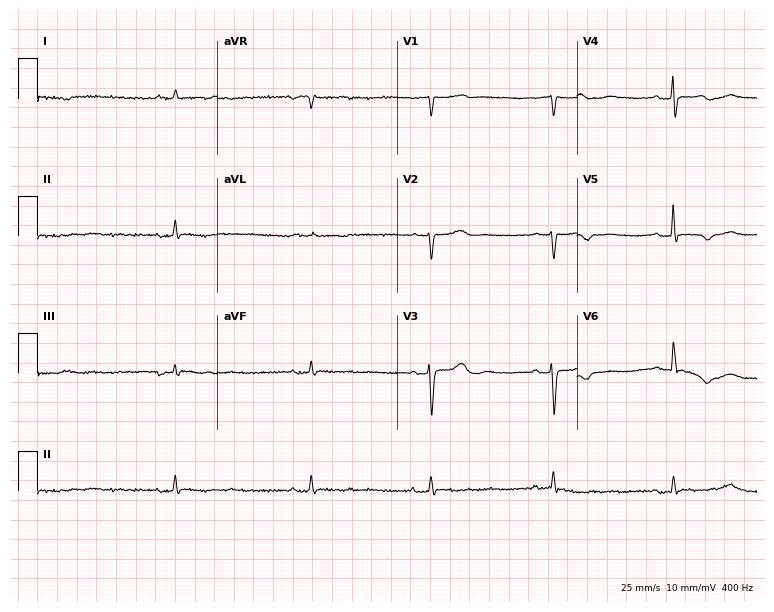
ECG — a female patient, 60 years old. Findings include first-degree AV block, sinus bradycardia (a sinus rate of 50 beats per minute or less).